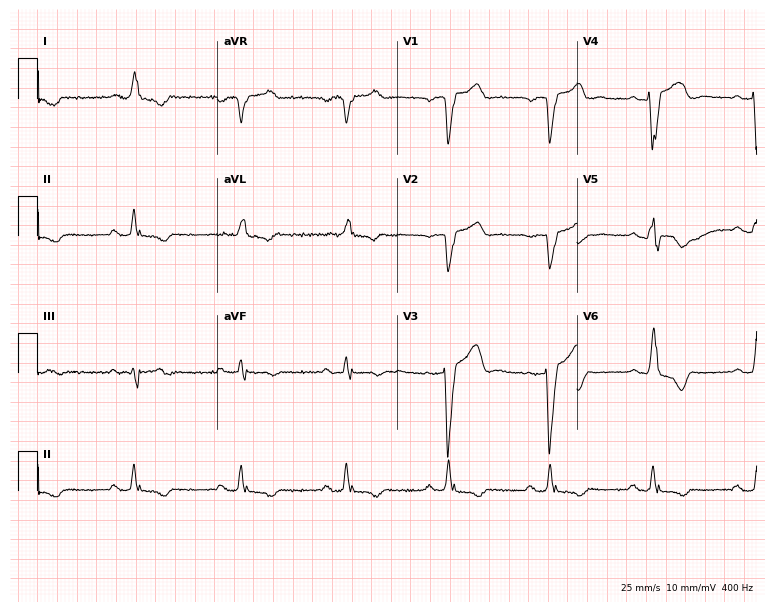
12-lead ECG (7.3-second recording at 400 Hz) from a 75-year-old man. Screened for six findings — first-degree AV block, right bundle branch block, left bundle branch block, sinus bradycardia, atrial fibrillation, sinus tachycardia — none is recorded.